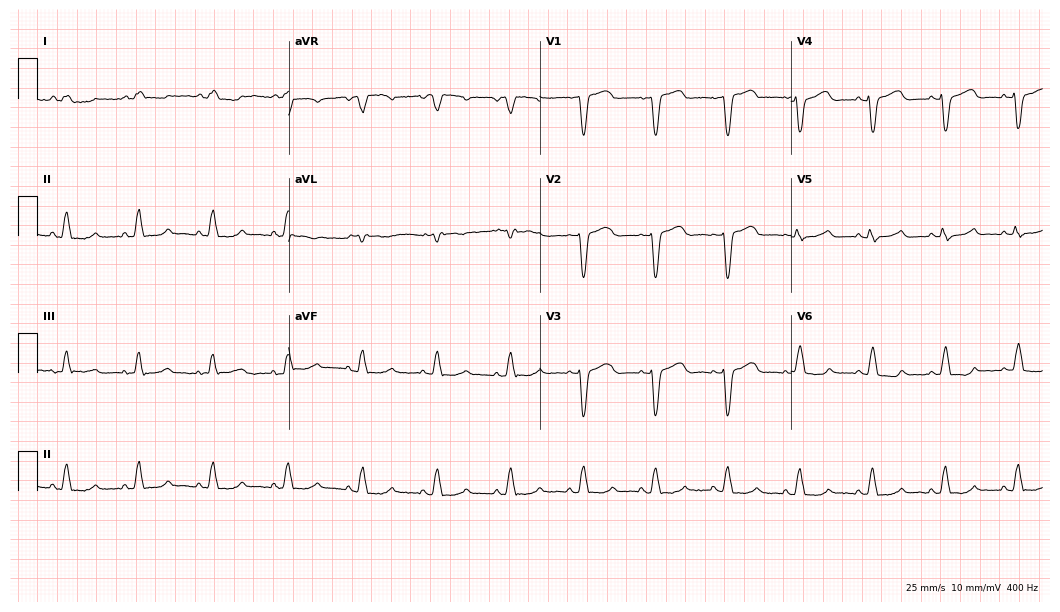
Resting 12-lead electrocardiogram. Patient: a 63-year-old female. The tracing shows left bundle branch block.